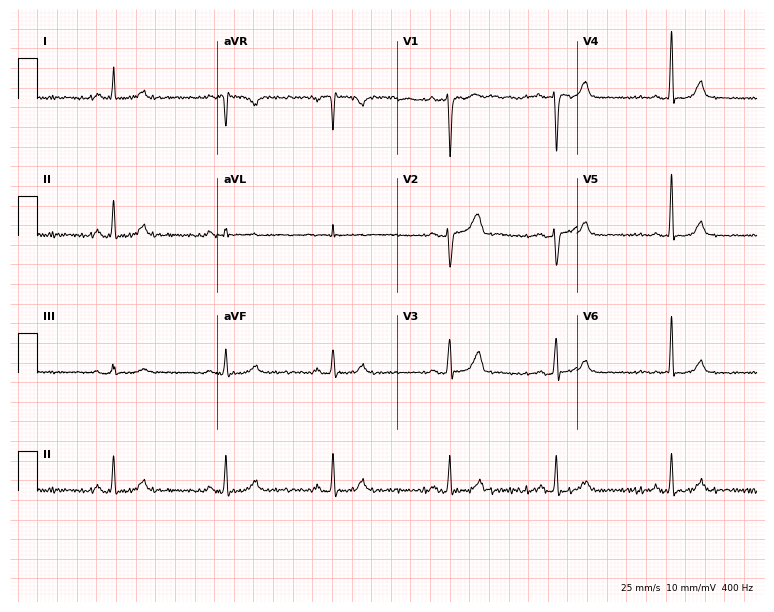
12-lead ECG from a female, 29 years old (7.3-second recording at 400 Hz). No first-degree AV block, right bundle branch block, left bundle branch block, sinus bradycardia, atrial fibrillation or sinus tachycardia recorded for this tracing.